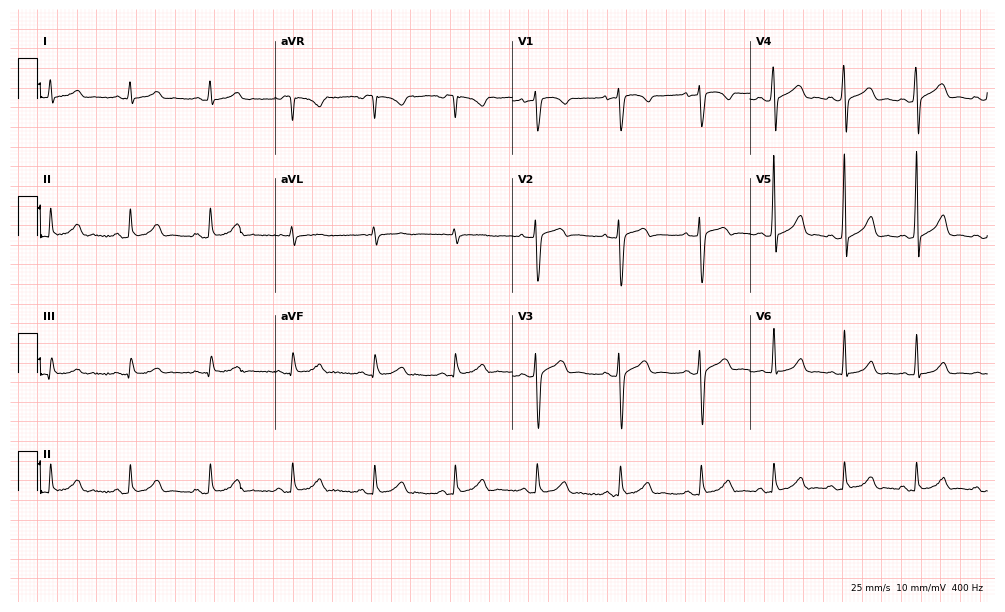
Standard 12-lead ECG recorded from a man, 26 years old (9.7-second recording at 400 Hz). Read as a normal ECG.